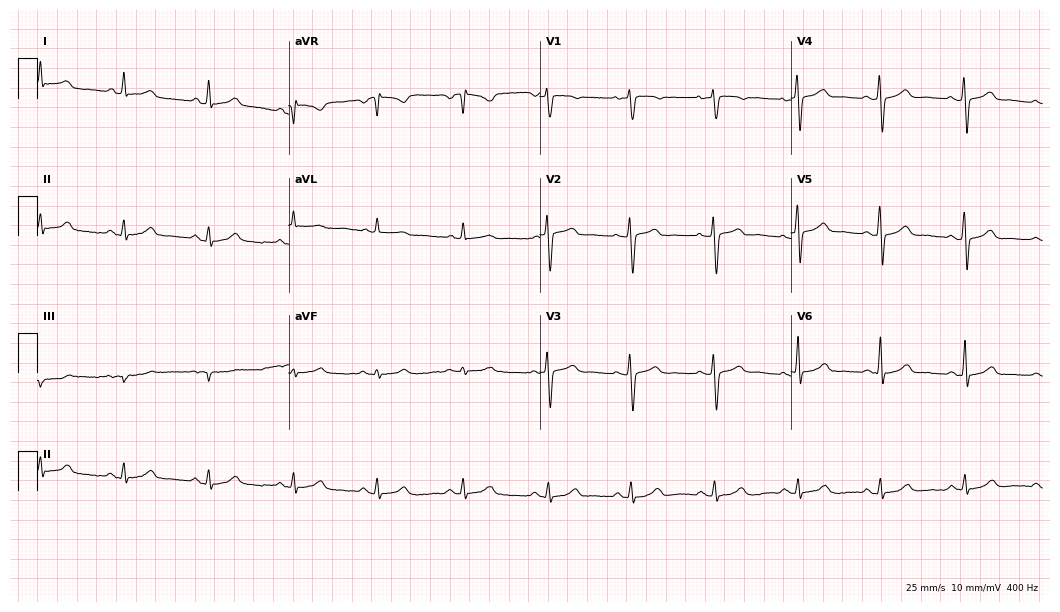
12-lead ECG from a 41-year-old woman. Labelled as a normal ECG.